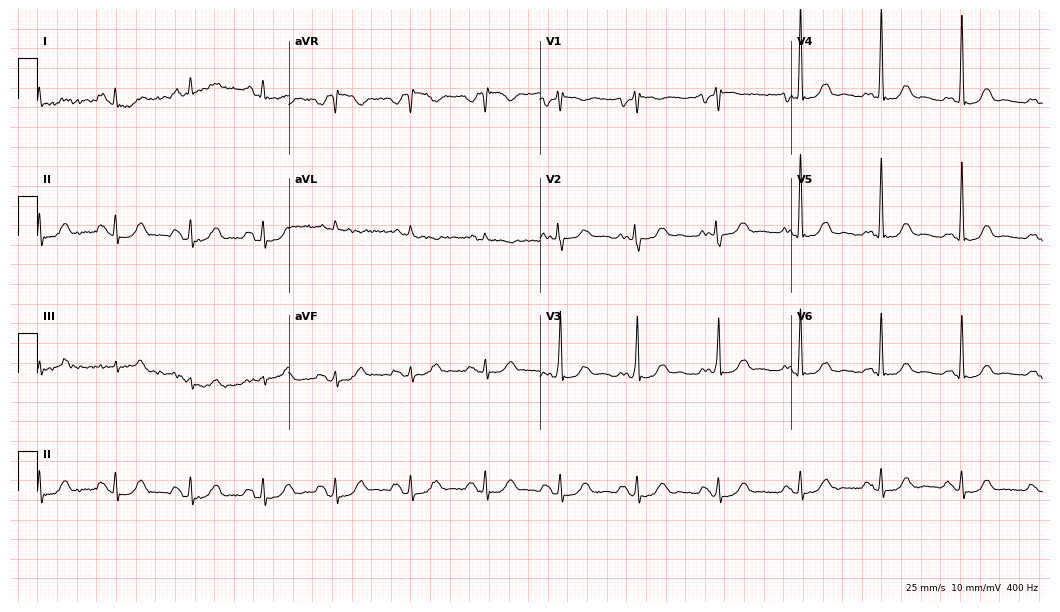
12-lead ECG (10.2-second recording at 400 Hz) from a female patient, 26 years old. Screened for six findings — first-degree AV block, right bundle branch block, left bundle branch block, sinus bradycardia, atrial fibrillation, sinus tachycardia — none is recorded. Findings outside these six are not listed.